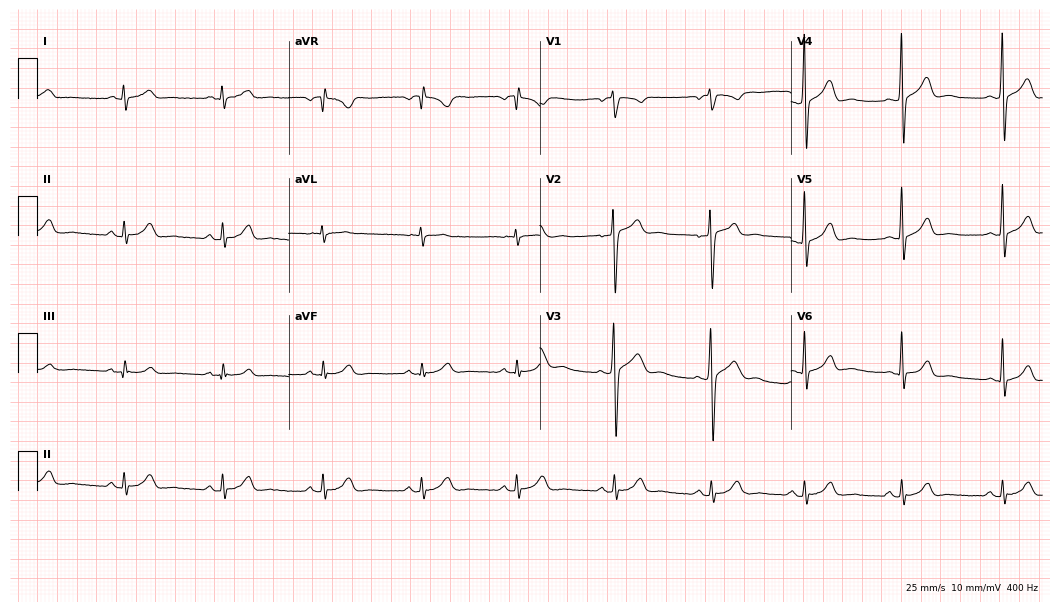
12-lead ECG (10.2-second recording at 400 Hz) from a 43-year-old male. Screened for six findings — first-degree AV block, right bundle branch block, left bundle branch block, sinus bradycardia, atrial fibrillation, sinus tachycardia — none is recorded. Only these six findings were labelled.